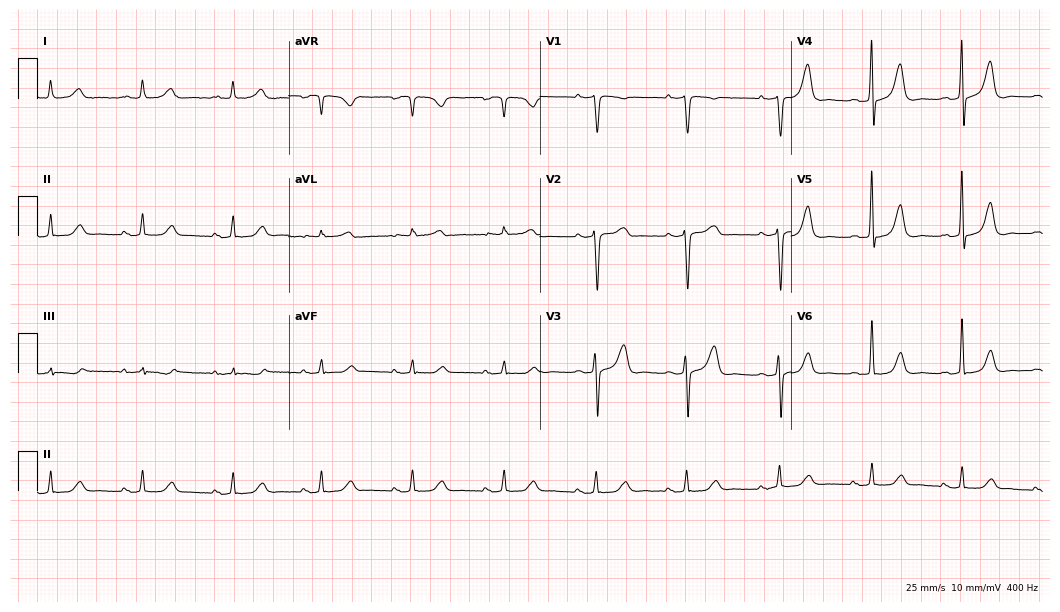
Electrocardiogram, a 58-year-old female patient. Overall reading on record: normal ECG.